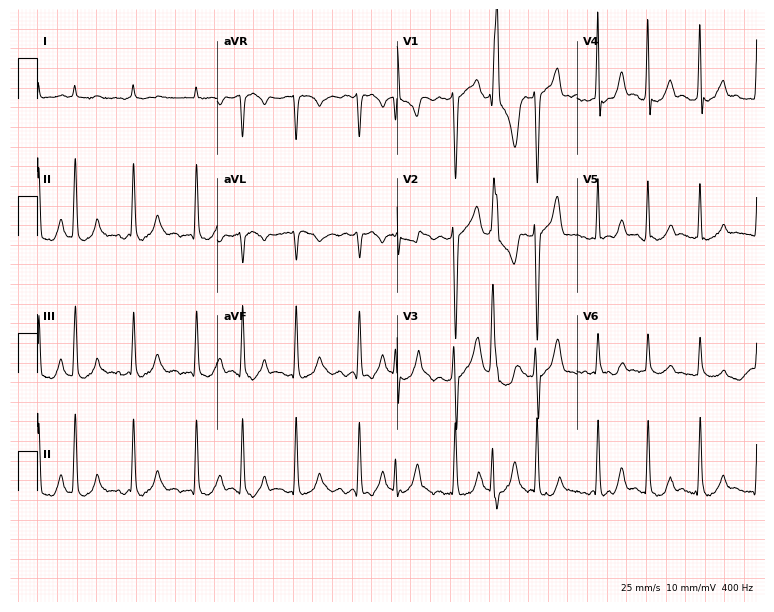
Electrocardiogram, a 57-year-old male patient. Interpretation includes sinus tachycardia (a sinus rate of 100 beats per minute or more).